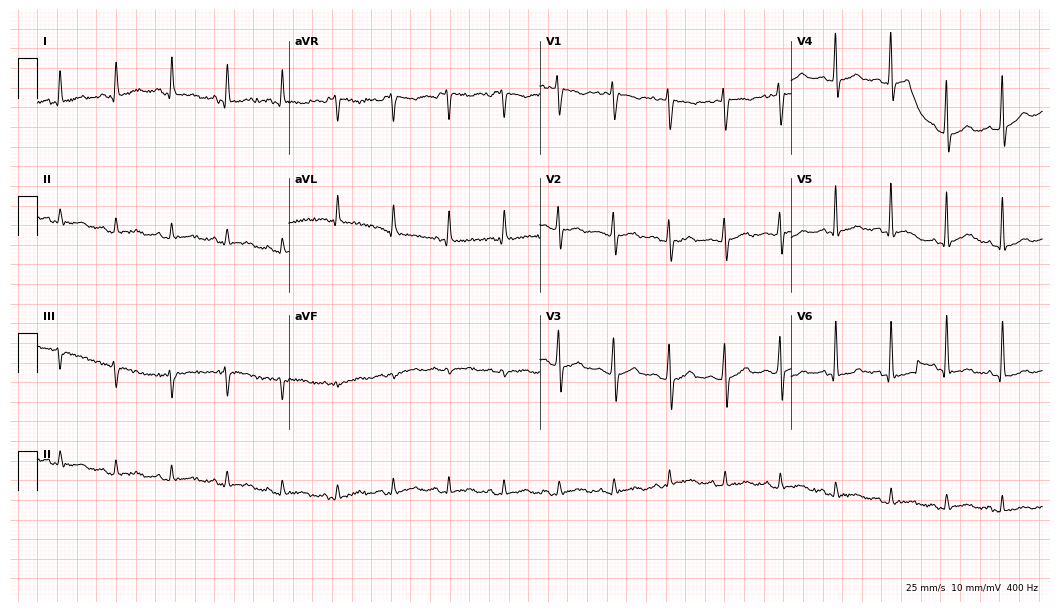
ECG (10.2-second recording at 400 Hz) — a woman, 56 years old. Findings include sinus tachycardia (a sinus rate of 100 beats per minute or more).